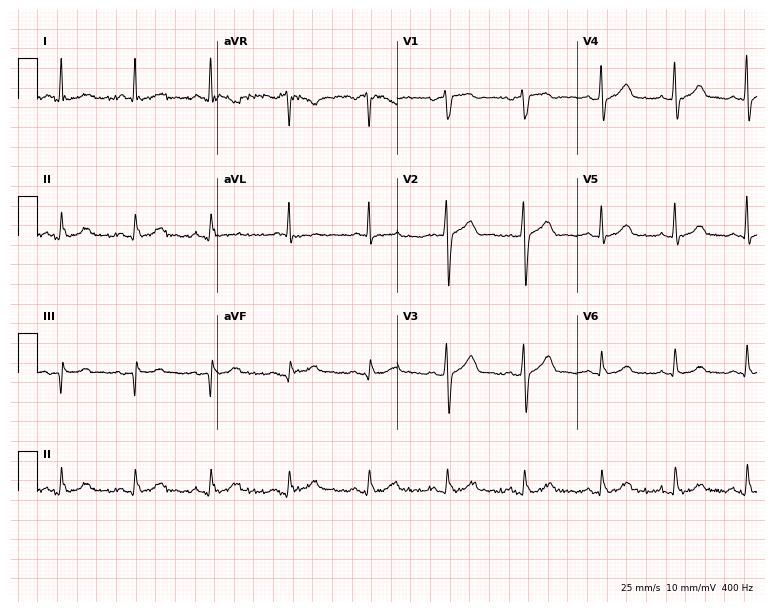
12-lead ECG from a 39-year-old male patient. Recorded interpretation: within normal limits.